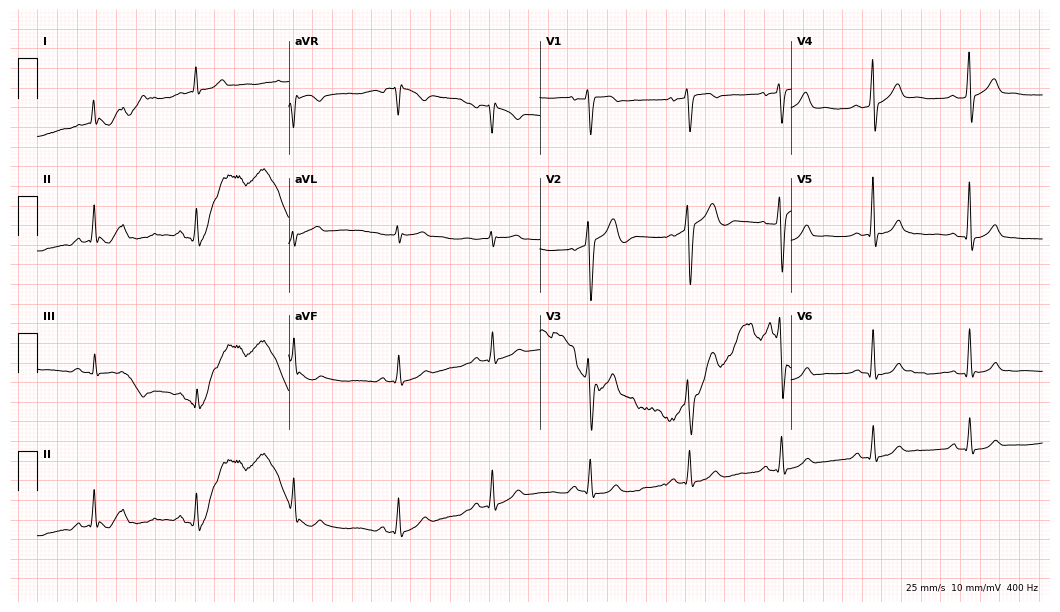
12-lead ECG (10.2-second recording at 400 Hz) from a man, 41 years old. Screened for six findings — first-degree AV block, right bundle branch block, left bundle branch block, sinus bradycardia, atrial fibrillation, sinus tachycardia — none is recorded. Only these six findings were labelled.